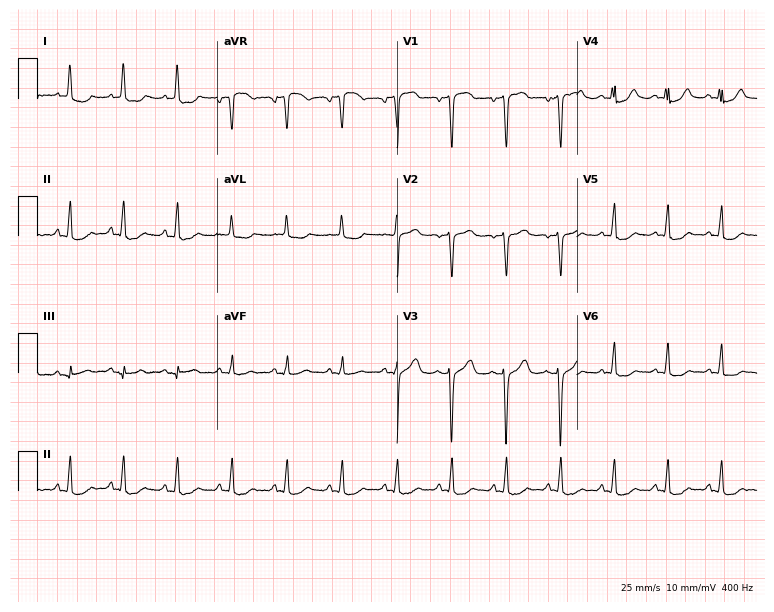
ECG (7.3-second recording at 400 Hz) — a 65-year-old female patient. Findings include sinus tachycardia (a sinus rate of 100 beats per minute or more).